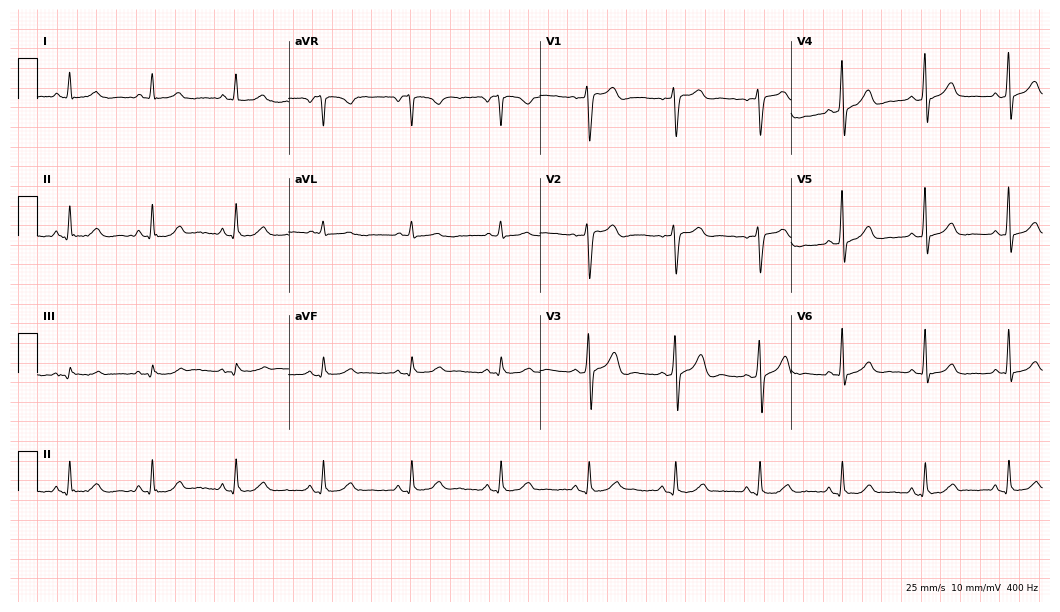
Resting 12-lead electrocardiogram. Patient: a man, 51 years old. Read as a normal ECG.